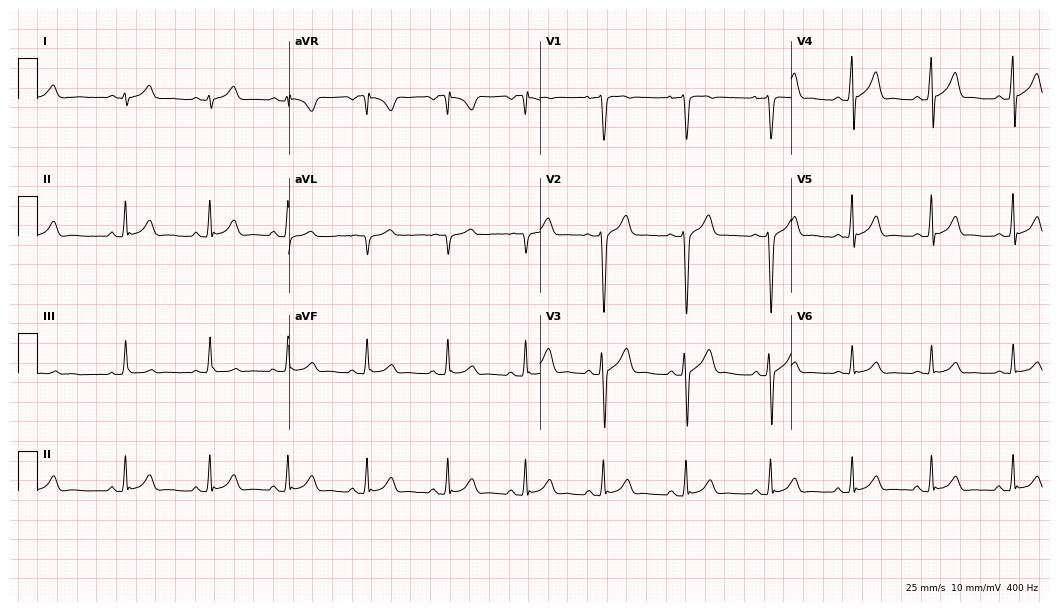
Resting 12-lead electrocardiogram (10.2-second recording at 400 Hz). Patient: a man, 18 years old. Read as a normal ECG.